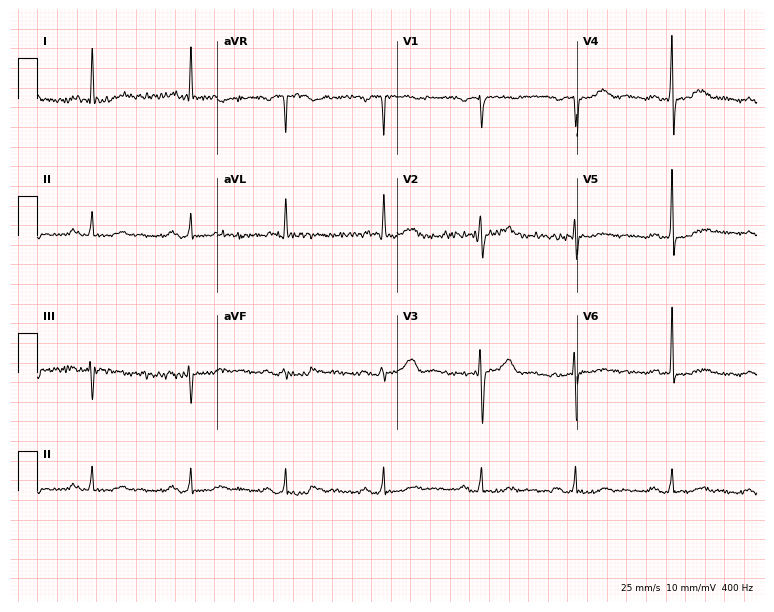
Electrocardiogram (7.3-second recording at 400 Hz), a female, 71 years old. Of the six screened findings (first-degree AV block, right bundle branch block, left bundle branch block, sinus bradycardia, atrial fibrillation, sinus tachycardia), none is recorded. Other findings, if any, are not listed.